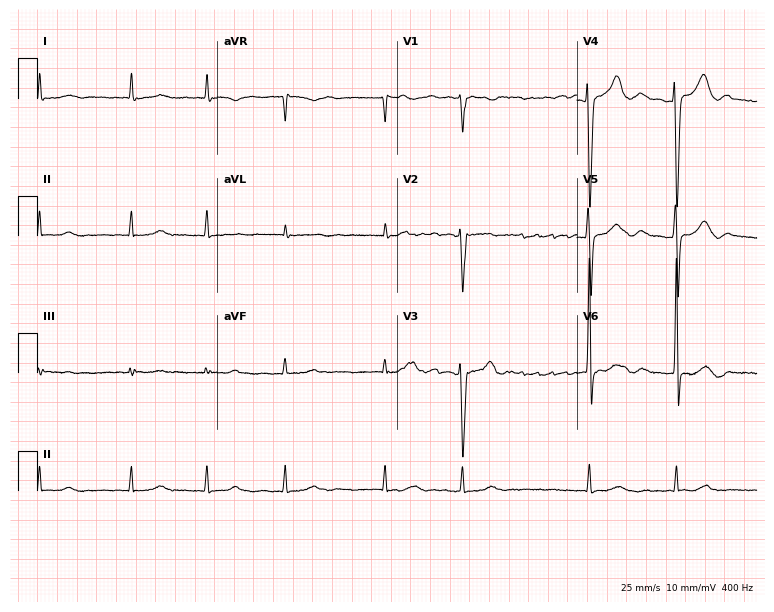
ECG (7.3-second recording at 400 Hz) — an 83-year-old man. Findings include atrial fibrillation.